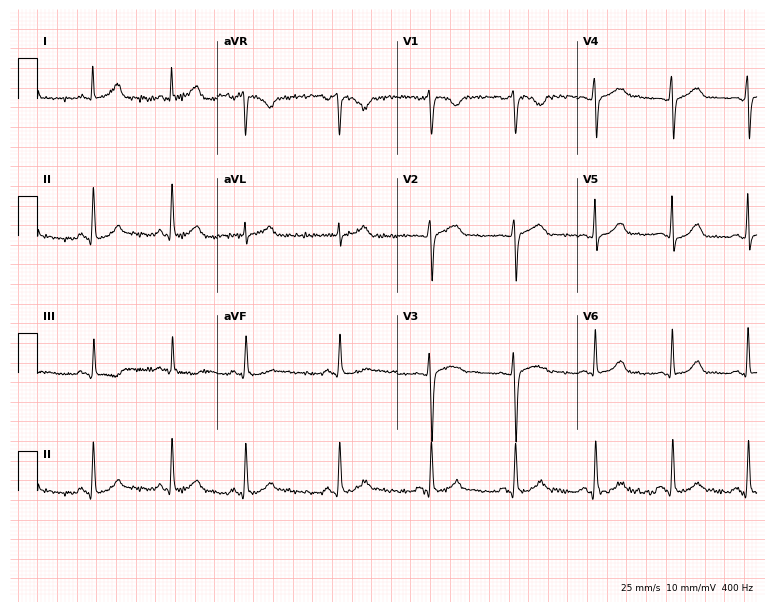
12-lead ECG from a female patient, 20 years old. Labelled as a normal ECG.